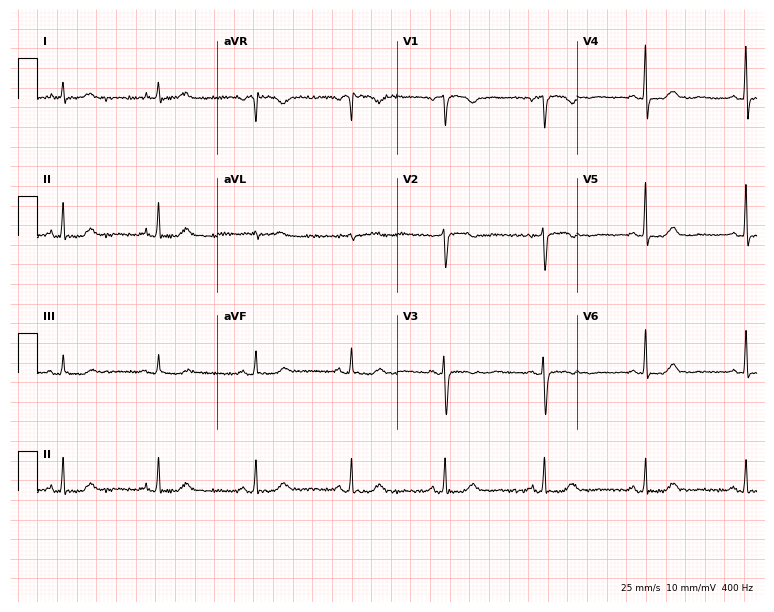
Resting 12-lead electrocardiogram. Patient: a 63-year-old woman. None of these six findings is recorded: first-degree AV block, right bundle branch block, left bundle branch block, sinus bradycardia, atrial fibrillation, sinus tachycardia. Findings outside these six are not listed.